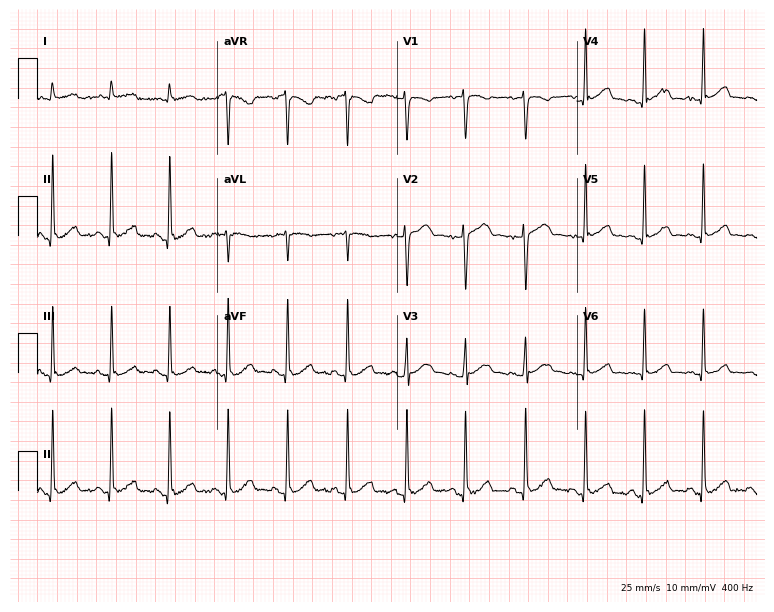
ECG (7.3-second recording at 400 Hz) — a female patient, 34 years old. Labelled as a normal ECG.